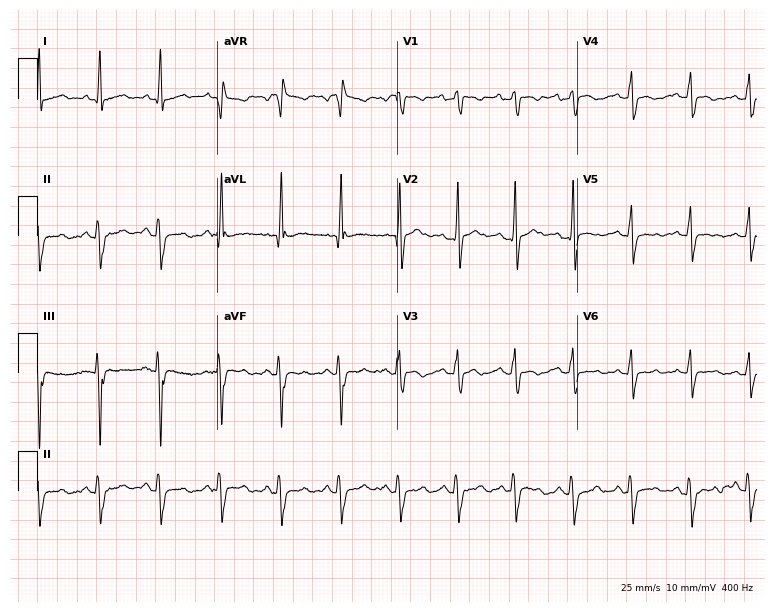
Resting 12-lead electrocardiogram. Patient: a 49-year-old man. None of these six findings is recorded: first-degree AV block, right bundle branch block (RBBB), left bundle branch block (LBBB), sinus bradycardia, atrial fibrillation (AF), sinus tachycardia.